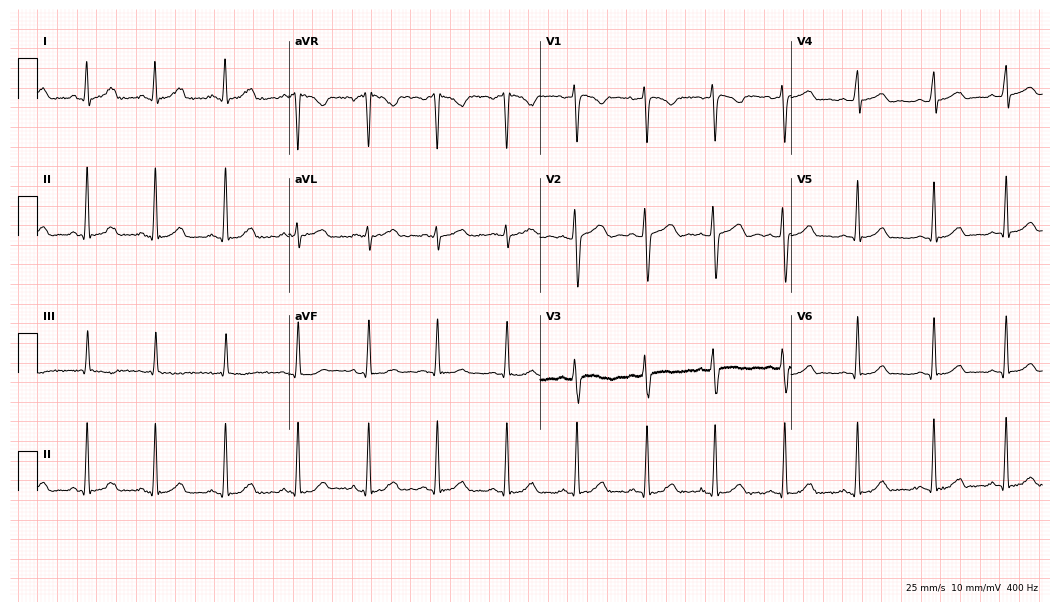
Standard 12-lead ECG recorded from a female patient, 22 years old. Read as a normal ECG.